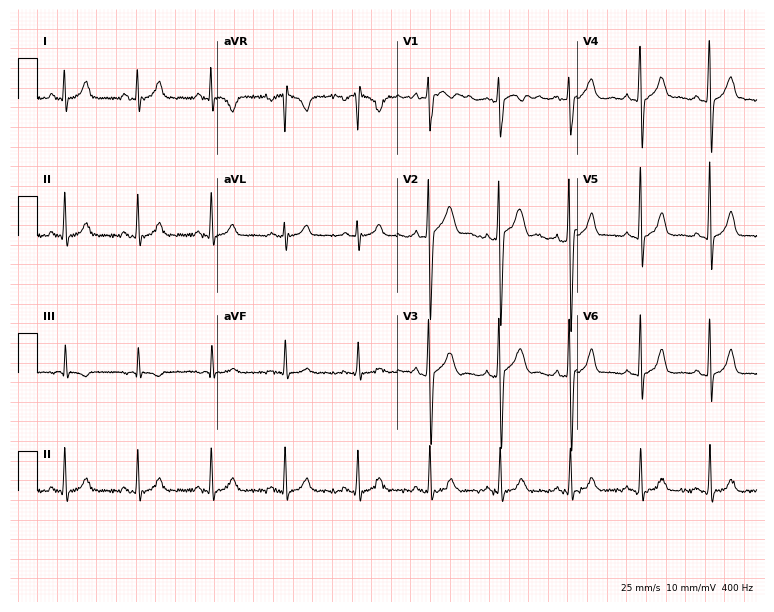
12-lead ECG from a man, 31 years old. Screened for six findings — first-degree AV block, right bundle branch block (RBBB), left bundle branch block (LBBB), sinus bradycardia, atrial fibrillation (AF), sinus tachycardia — none is recorded. Findings outside these six are not listed.